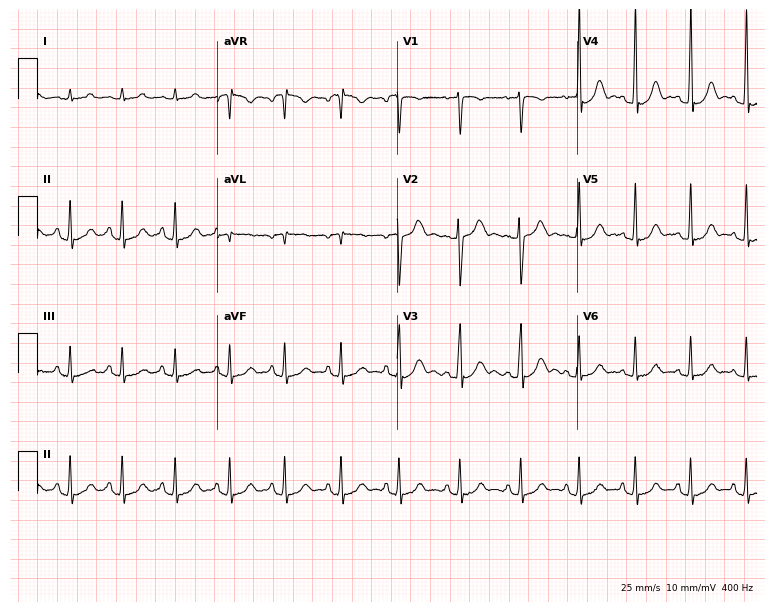
ECG — a female patient, 29 years old. Findings include sinus tachycardia (a sinus rate of 100 beats per minute or more).